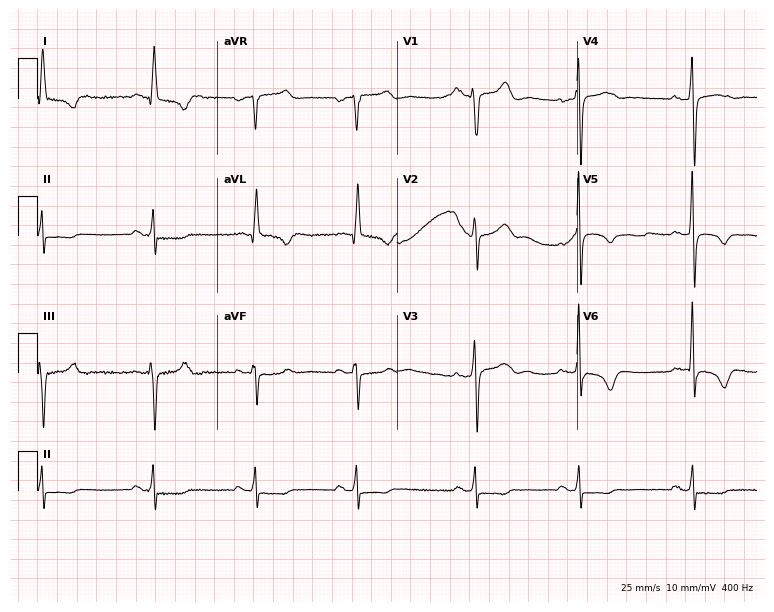
12-lead ECG from a male, 64 years old. Screened for six findings — first-degree AV block, right bundle branch block, left bundle branch block, sinus bradycardia, atrial fibrillation, sinus tachycardia — none is recorded. Findings outside these six are not listed.